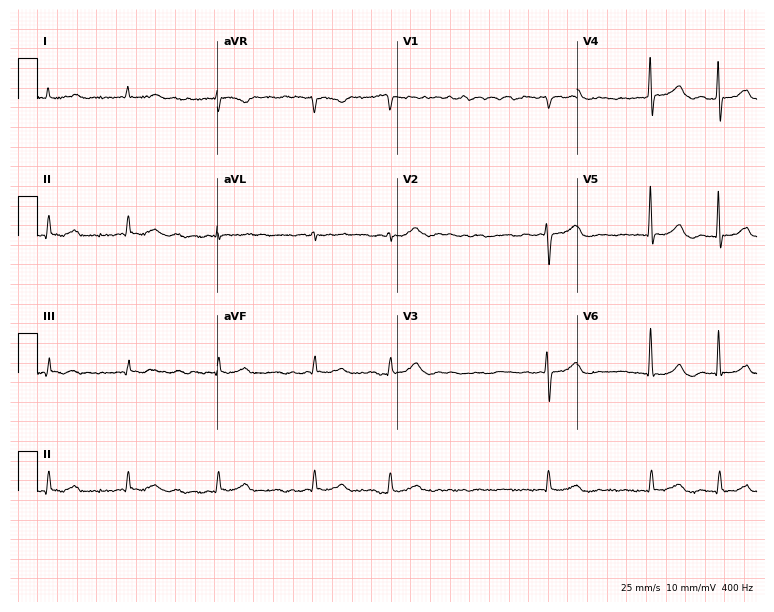
Resting 12-lead electrocardiogram (7.3-second recording at 400 Hz). Patient: a 64-year-old woman. The tracing shows atrial fibrillation (AF).